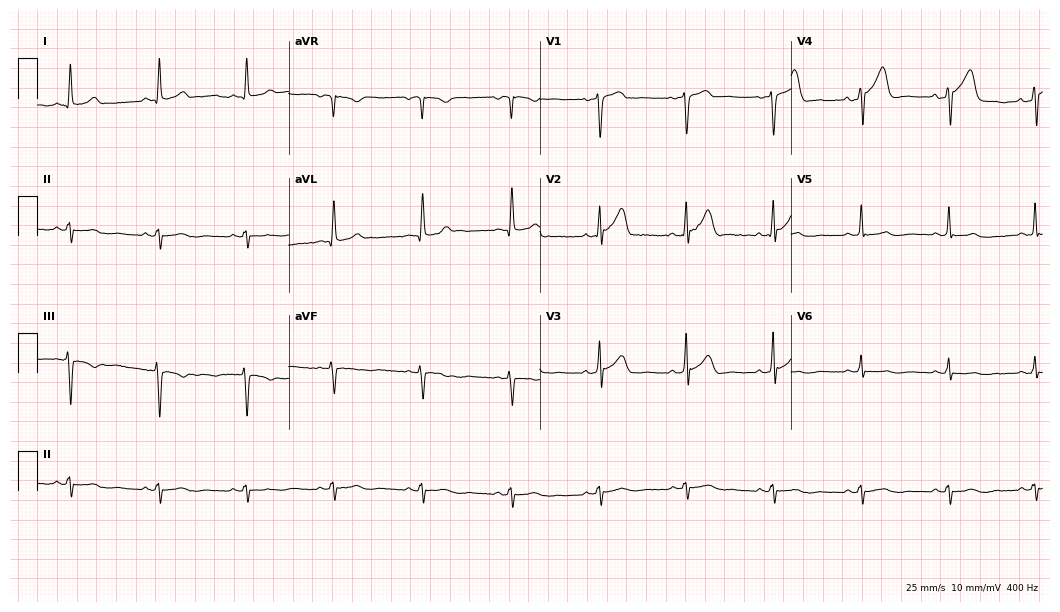
ECG — a 47-year-old male. Screened for six findings — first-degree AV block, right bundle branch block, left bundle branch block, sinus bradycardia, atrial fibrillation, sinus tachycardia — none is recorded. Only these six findings were labelled.